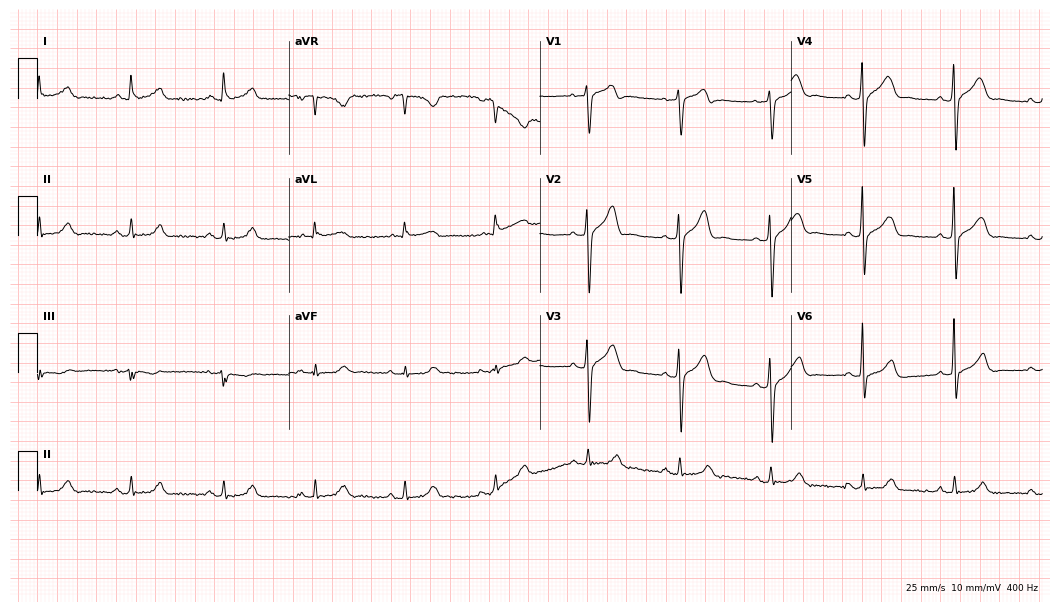
Electrocardiogram (10.2-second recording at 400 Hz), a 61-year-old male patient. Overall reading on record: normal ECG.